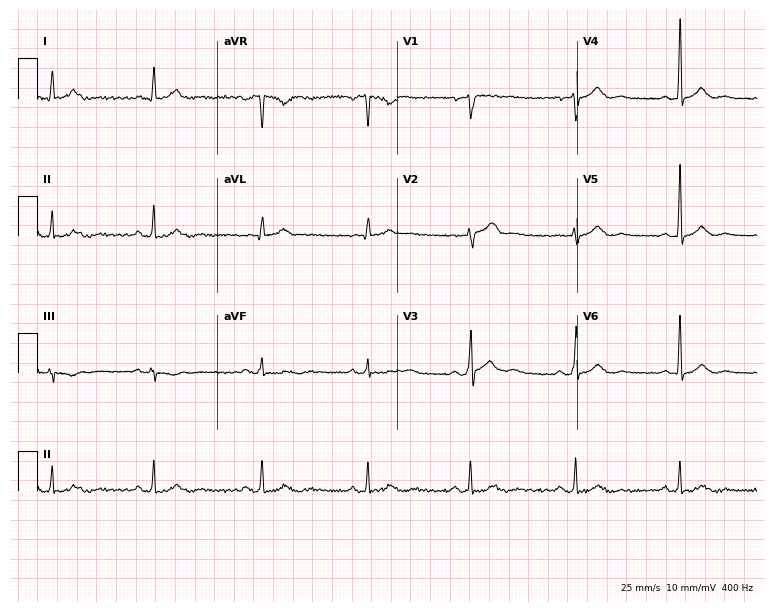
Standard 12-lead ECG recorded from a male, 39 years old (7.3-second recording at 400 Hz). Read as a normal ECG.